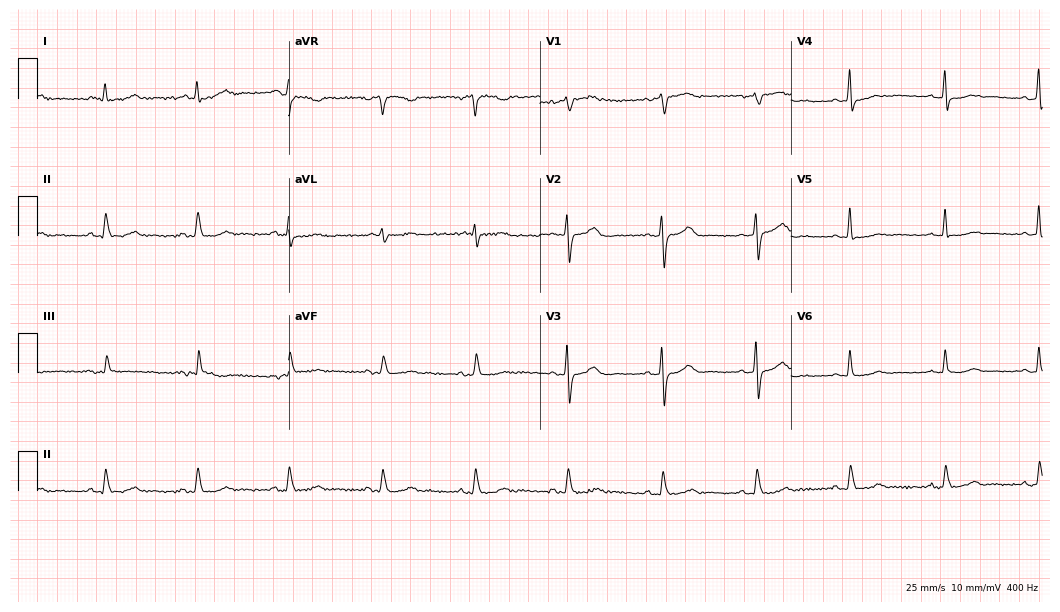
Resting 12-lead electrocardiogram. Patient: a woman, 63 years old. None of these six findings is recorded: first-degree AV block, right bundle branch block, left bundle branch block, sinus bradycardia, atrial fibrillation, sinus tachycardia.